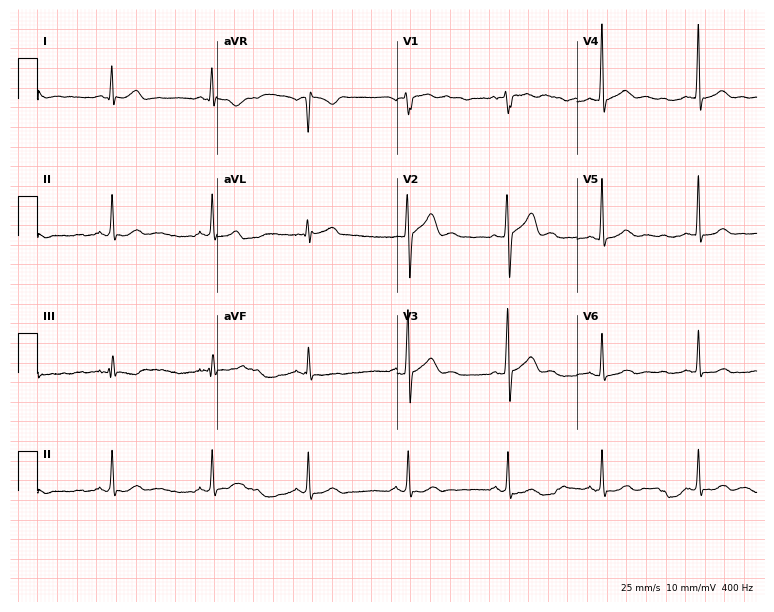
Resting 12-lead electrocardiogram (7.3-second recording at 400 Hz). Patient: a 30-year-old male. Read as a normal ECG.